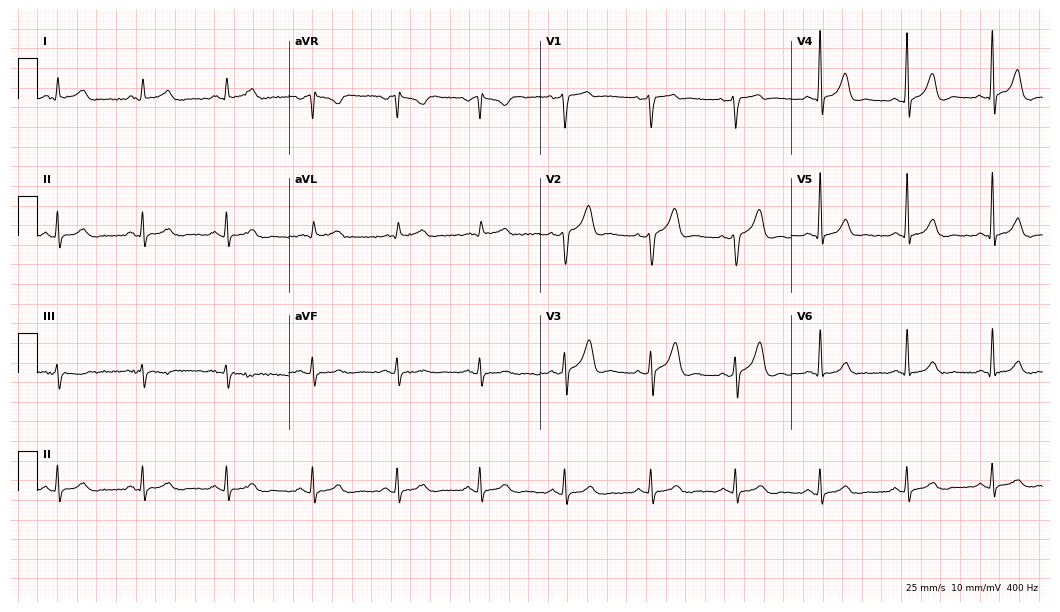
Standard 12-lead ECG recorded from a male patient, 47 years old. Read as a normal ECG.